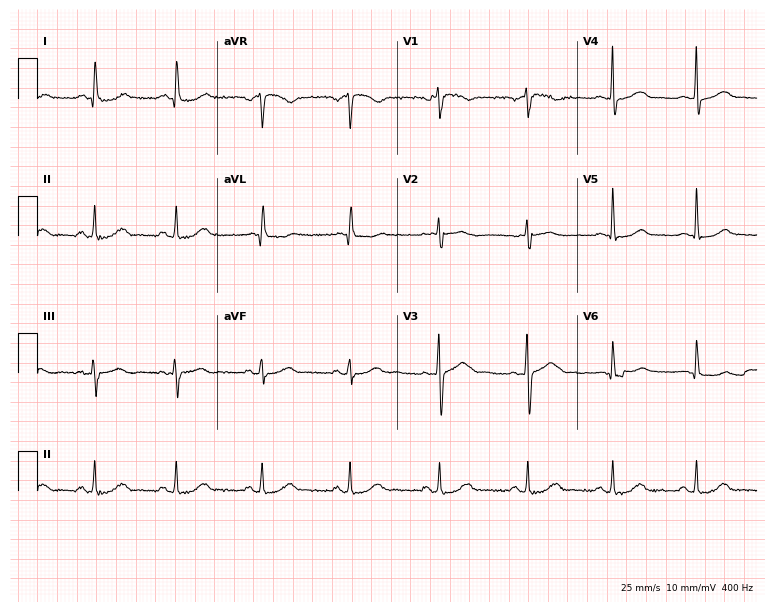
Standard 12-lead ECG recorded from a 46-year-old woman (7.3-second recording at 400 Hz). None of these six findings is recorded: first-degree AV block, right bundle branch block (RBBB), left bundle branch block (LBBB), sinus bradycardia, atrial fibrillation (AF), sinus tachycardia.